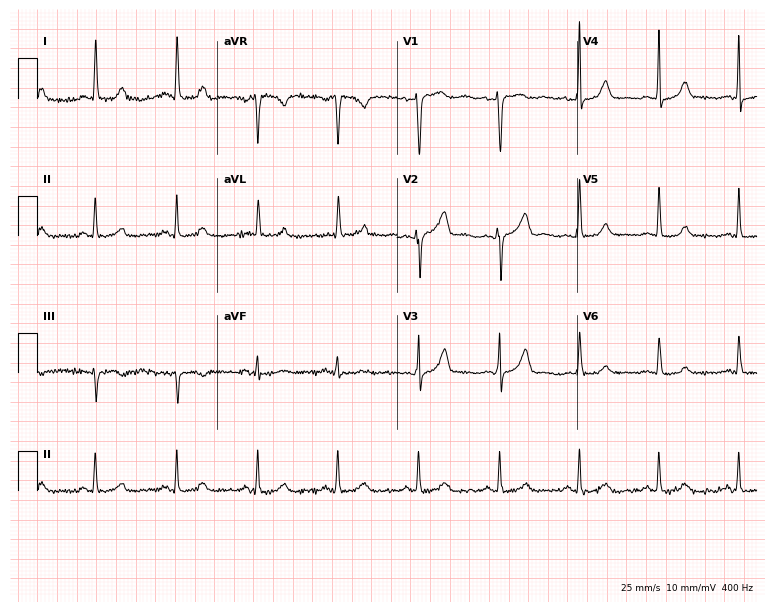
ECG — a woman, 45 years old. Labelled as a normal ECG.